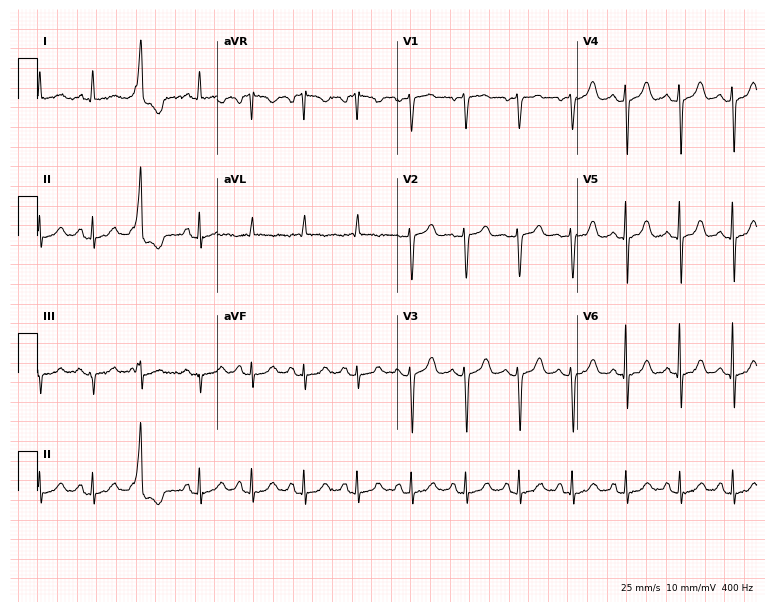
Standard 12-lead ECG recorded from a female patient, 79 years old. The tracing shows sinus tachycardia (a sinus rate of 100 beats per minute or more).